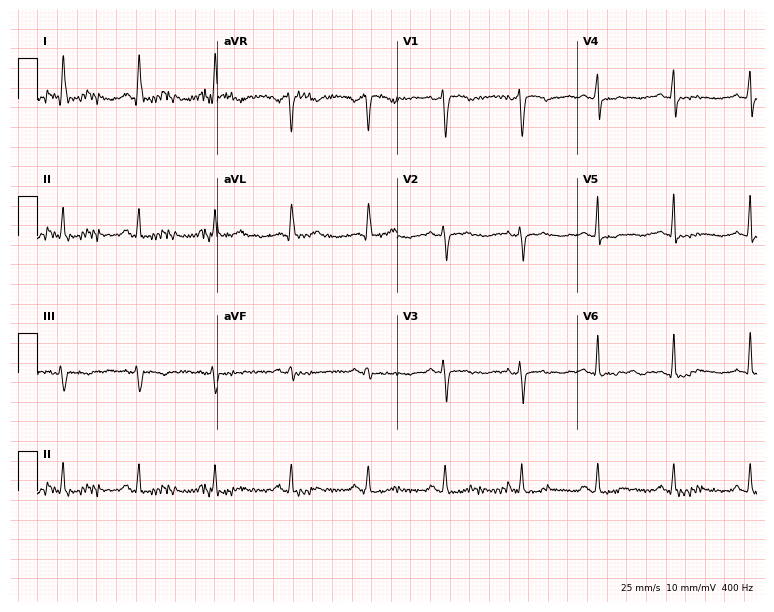
Standard 12-lead ECG recorded from a female patient, 66 years old (7.3-second recording at 400 Hz). None of these six findings is recorded: first-degree AV block, right bundle branch block (RBBB), left bundle branch block (LBBB), sinus bradycardia, atrial fibrillation (AF), sinus tachycardia.